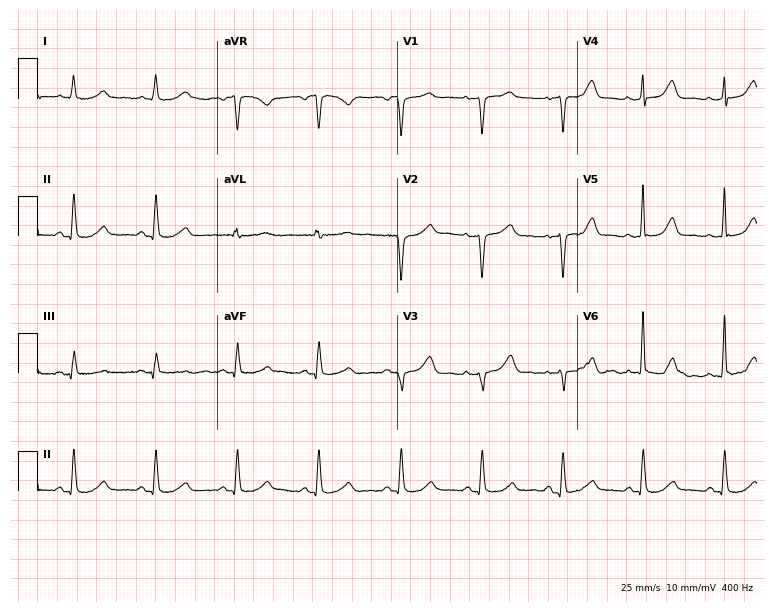
Standard 12-lead ECG recorded from a 69-year-old female. Read as a normal ECG.